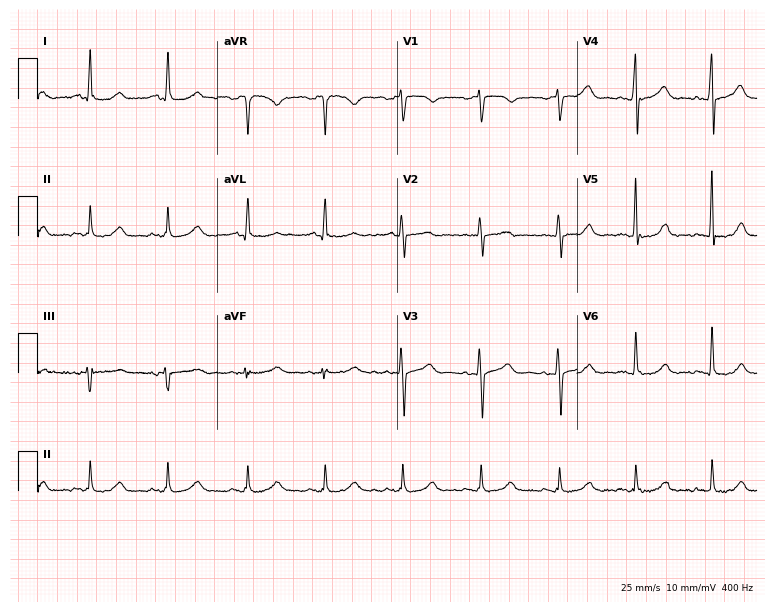
12-lead ECG (7.3-second recording at 400 Hz) from a woman, 59 years old. Labelled as a normal ECG.